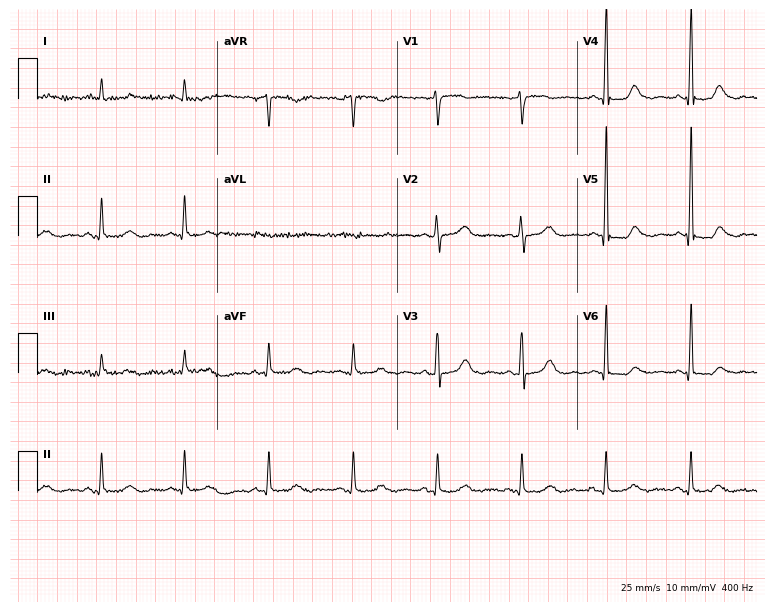
Electrocardiogram (7.3-second recording at 400 Hz), a female, 74 years old. Overall reading on record: normal ECG.